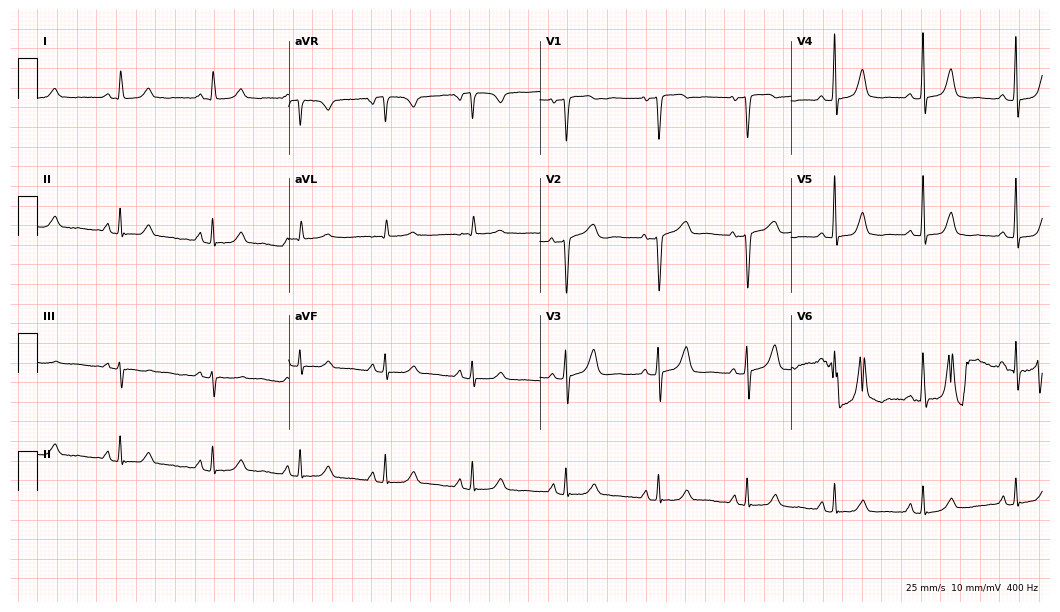
Resting 12-lead electrocardiogram. Patient: a 58-year-old female. Read as a normal ECG.